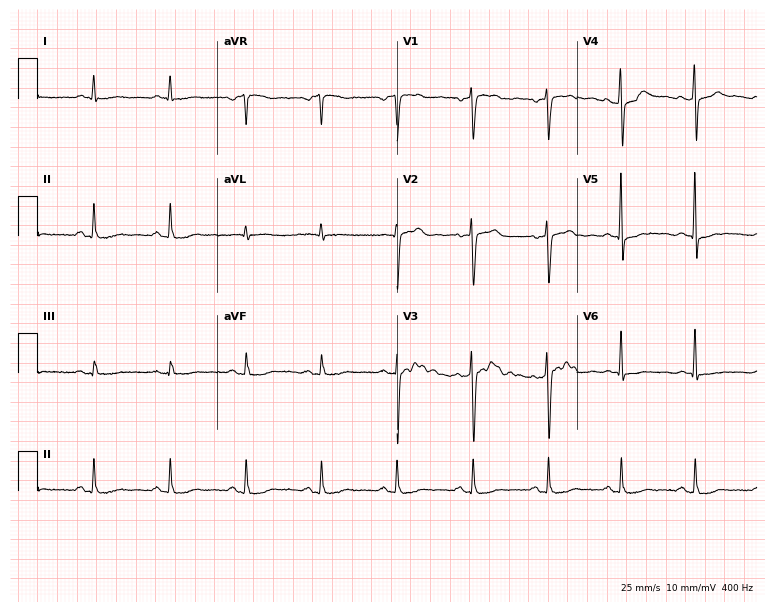
Standard 12-lead ECG recorded from a male, 62 years old (7.3-second recording at 400 Hz). None of these six findings is recorded: first-degree AV block, right bundle branch block, left bundle branch block, sinus bradycardia, atrial fibrillation, sinus tachycardia. Findings outside these six are not listed.